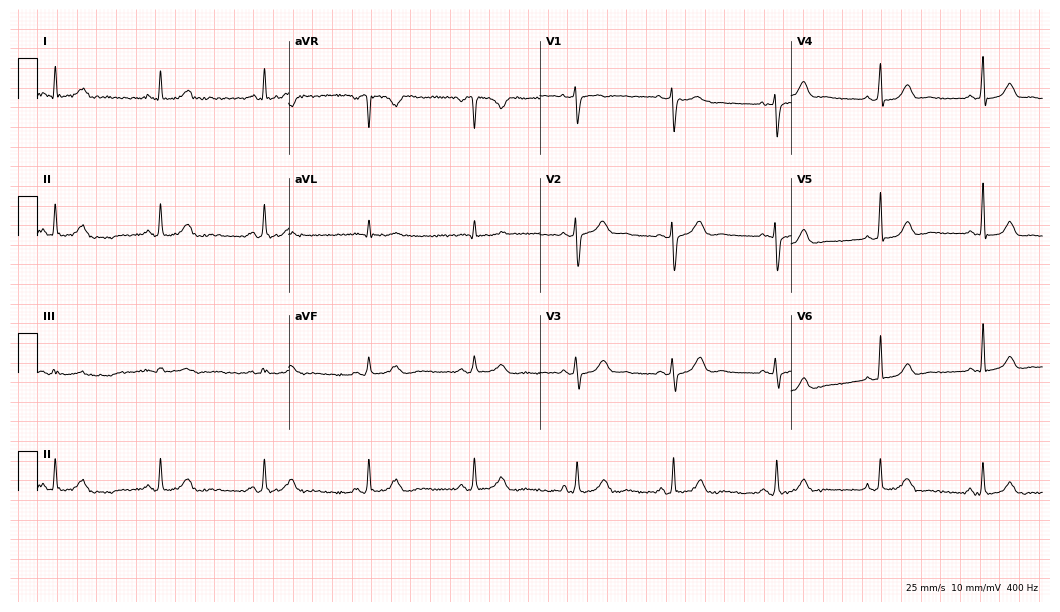
Resting 12-lead electrocardiogram. Patient: a 62-year-old female. Read as a normal ECG.